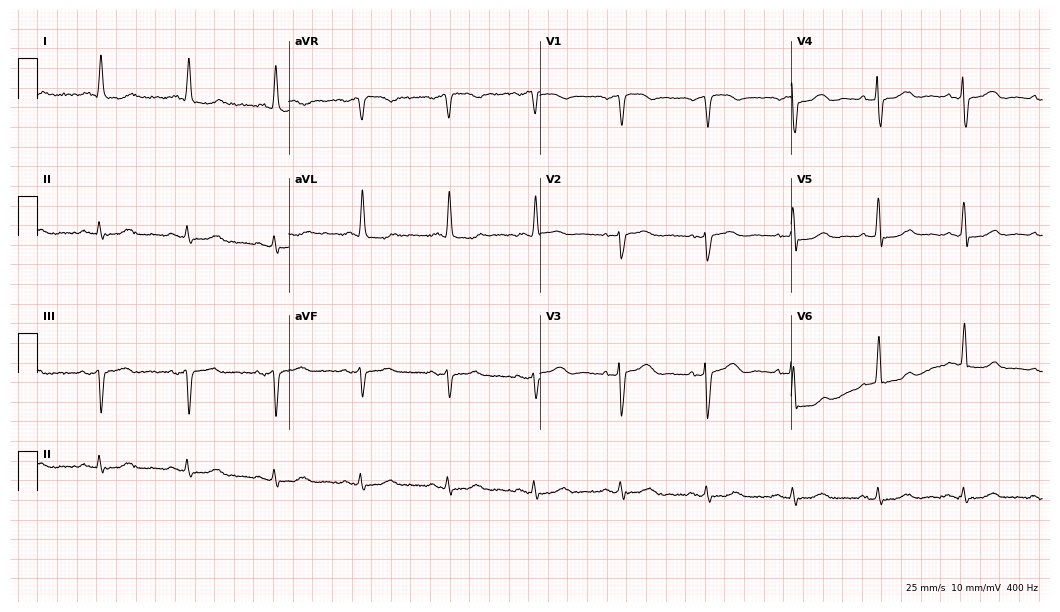
12-lead ECG (10.2-second recording at 400 Hz) from a woman, 82 years old. Labelled as a normal ECG.